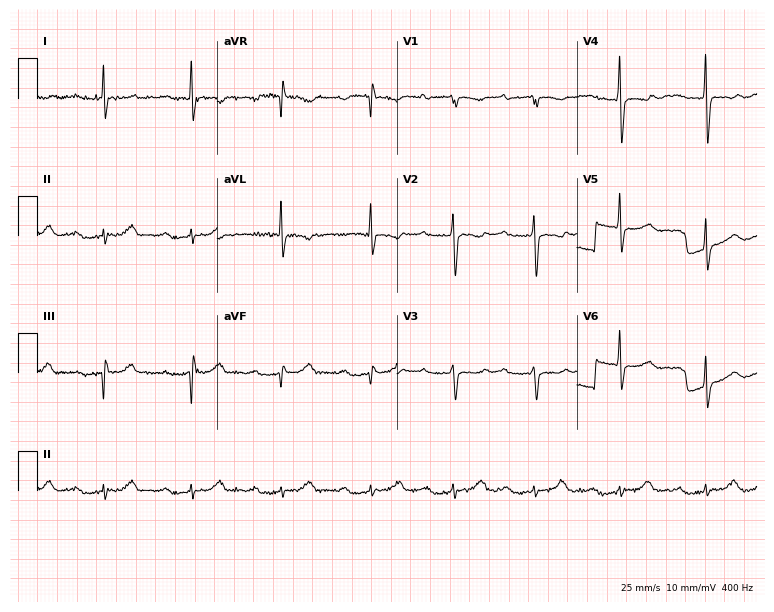
ECG (7.3-second recording at 400 Hz) — a female, 77 years old. Findings include first-degree AV block.